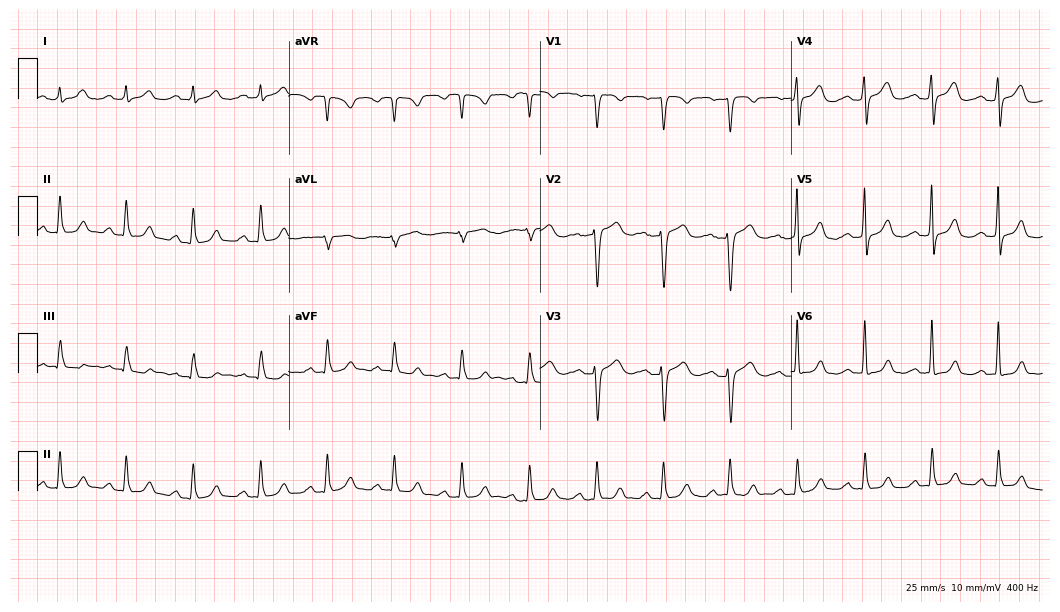
ECG (10.2-second recording at 400 Hz) — a 58-year-old woman. Labelled as a normal ECG.